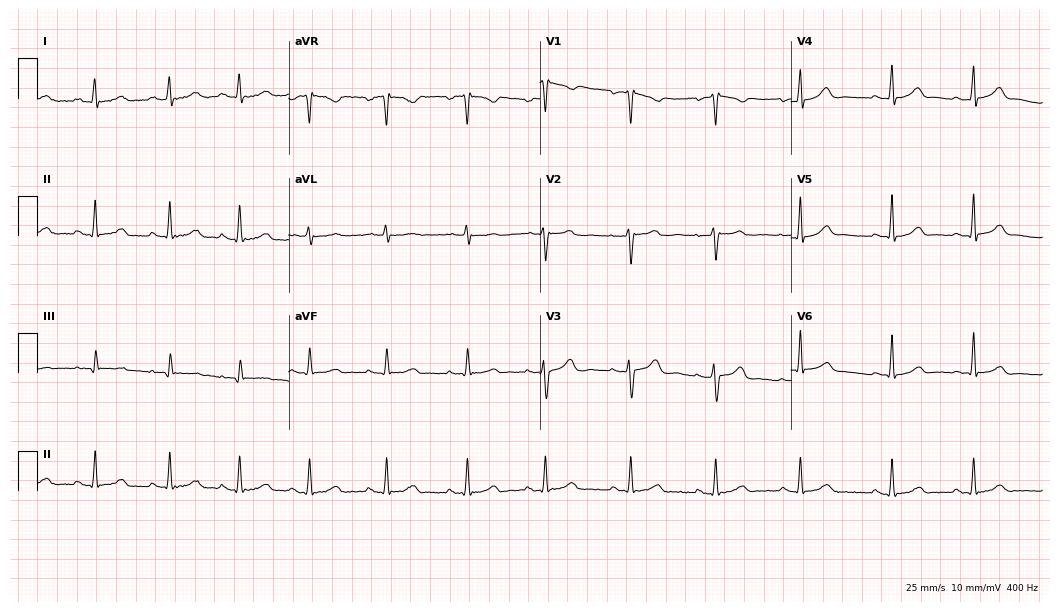
Resting 12-lead electrocardiogram (10.2-second recording at 400 Hz). Patient: a 23-year-old woman. Read as a normal ECG.